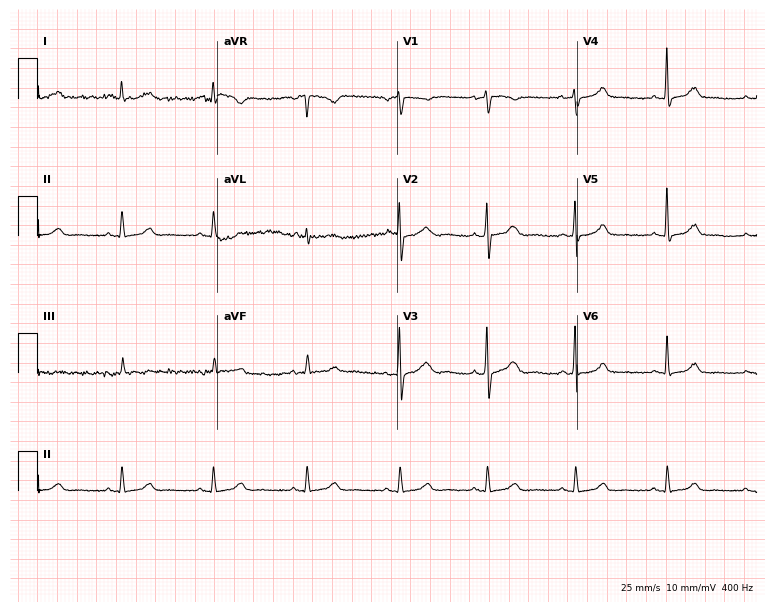
ECG — a 32-year-old female. Labelled as a normal ECG.